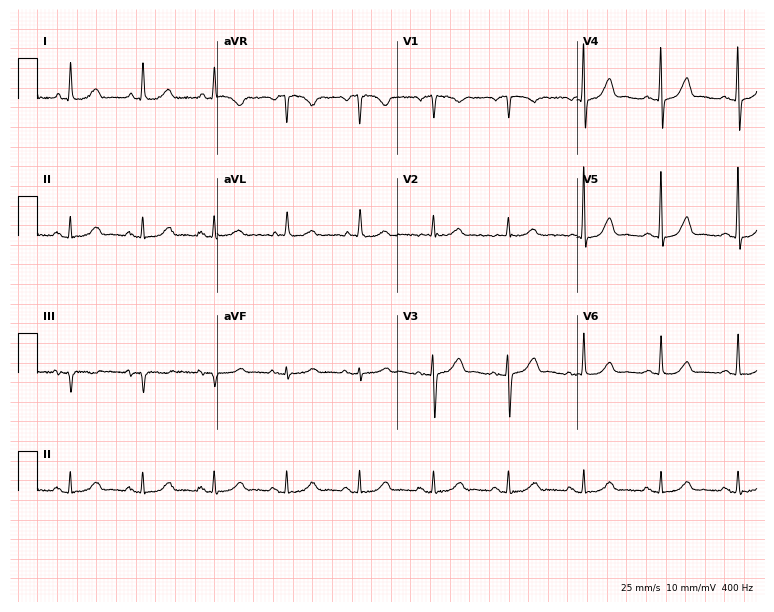
Standard 12-lead ECG recorded from an 85-year-old female (7.3-second recording at 400 Hz). Read as a normal ECG.